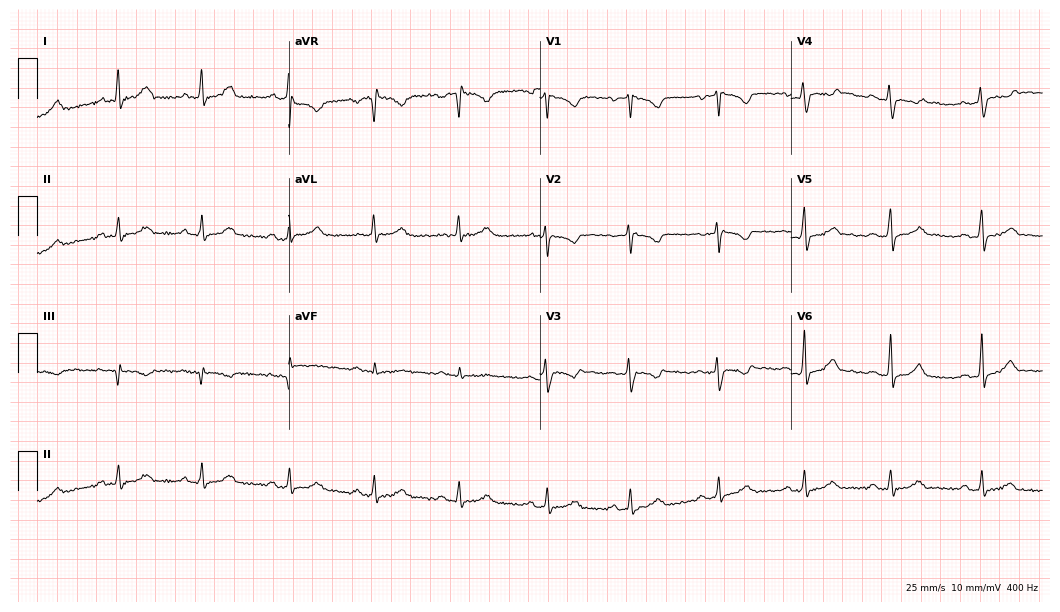
Resting 12-lead electrocardiogram. Patient: a 30-year-old woman. None of these six findings is recorded: first-degree AV block, right bundle branch block (RBBB), left bundle branch block (LBBB), sinus bradycardia, atrial fibrillation (AF), sinus tachycardia.